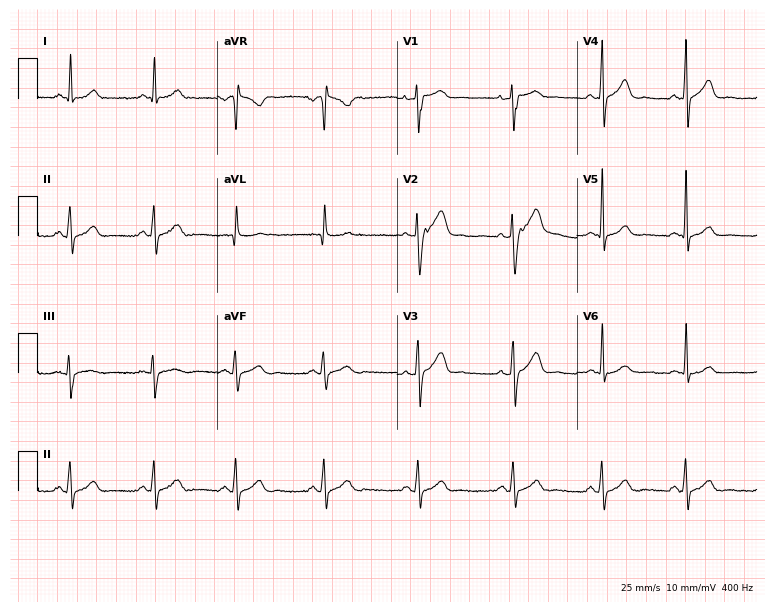
12-lead ECG from a 37-year-old man. No first-degree AV block, right bundle branch block (RBBB), left bundle branch block (LBBB), sinus bradycardia, atrial fibrillation (AF) or sinus tachycardia recorded for this tracing.